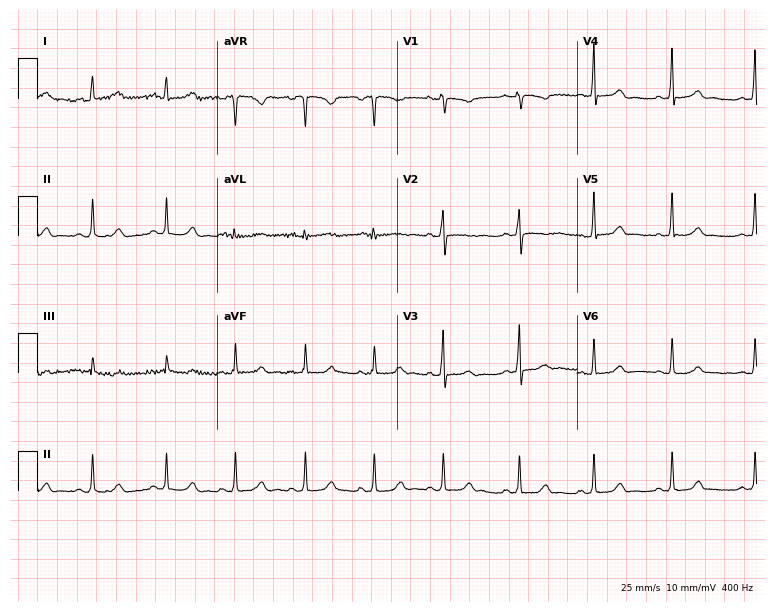
Electrocardiogram, a 17-year-old female patient. Overall reading on record: normal ECG.